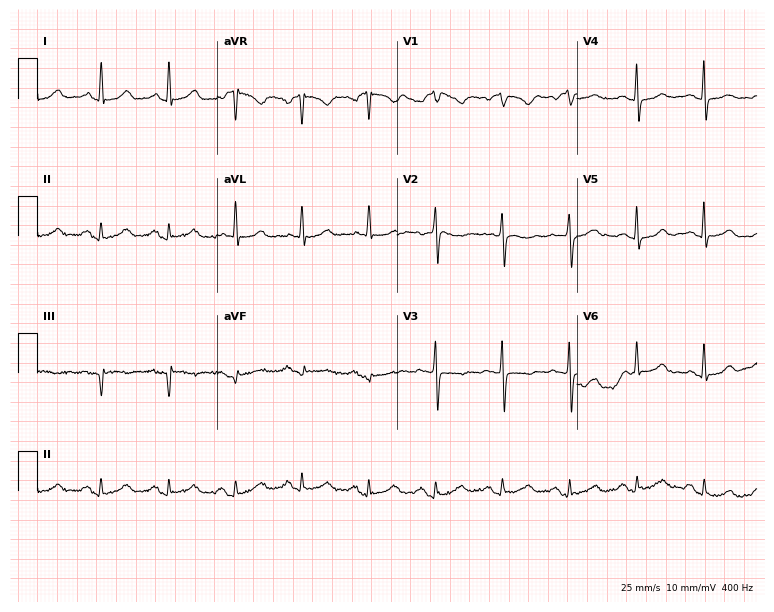
Electrocardiogram, a male patient, 53 years old. Of the six screened findings (first-degree AV block, right bundle branch block, left bundle branch block, sinus bradycardia, atrial fibrillation, sinus tachycardia), none is recorded. Only these six findings were labelled.